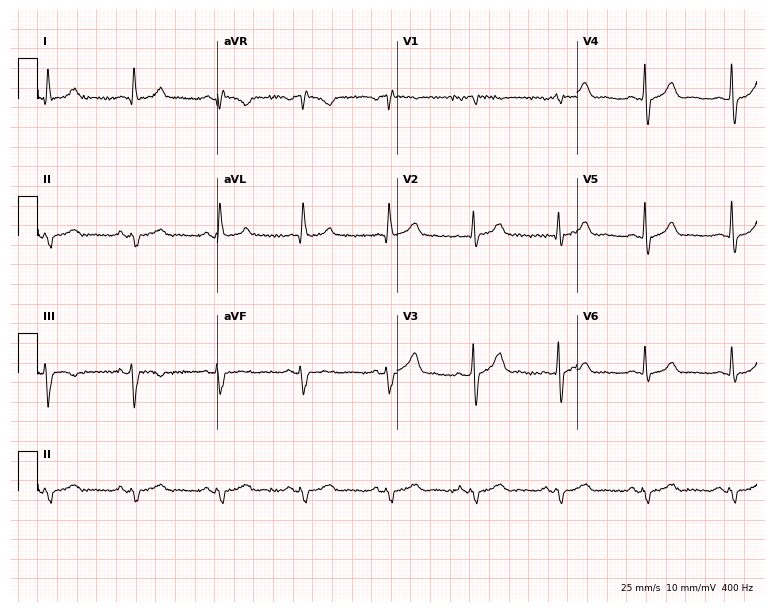
12-lead ECG from a male, 78 years old. No first-degree AV block, right bundle branch block (RBBB), left bundle branch block (LBBB), sinus bradycardia, atrial fibrillation (AF) or sinus tachycardia recorded for this tracing.